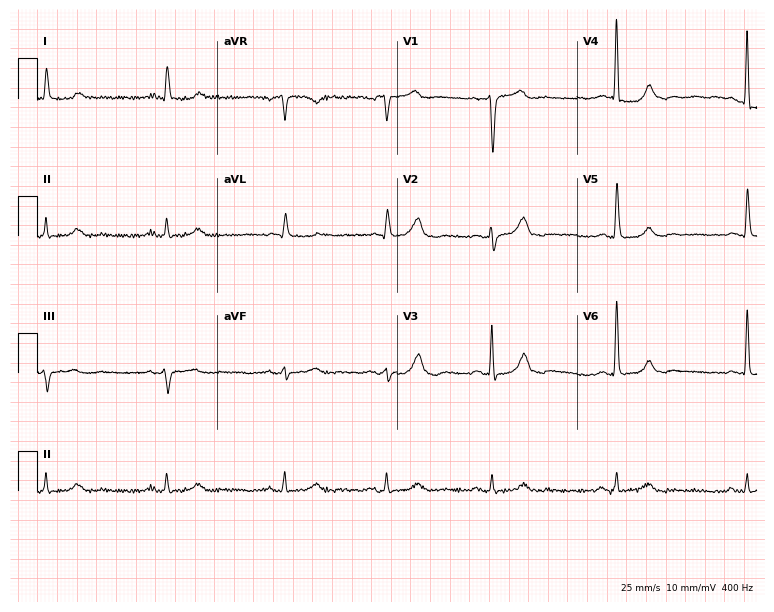
Resting 12-lead electrocardiogram (7.3-second recording at 400 Hz). Patient: a 79-year-old male. None of these six findings is recorded: first-degree AV block, right bundle branch block (RBBB), left bundle branch block (LBBB), sinus bradycardia, atrial fibrillation (AF), sinus tachycardia. Findings outside these six are not listed.